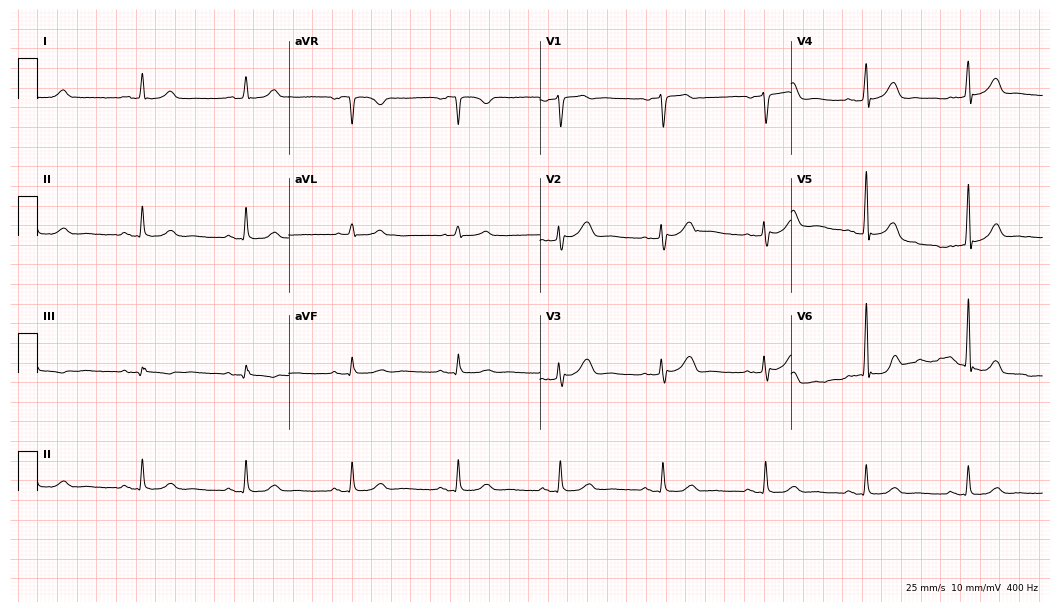
ECG — a female, 72 years old. Labelled as a normal ECG.